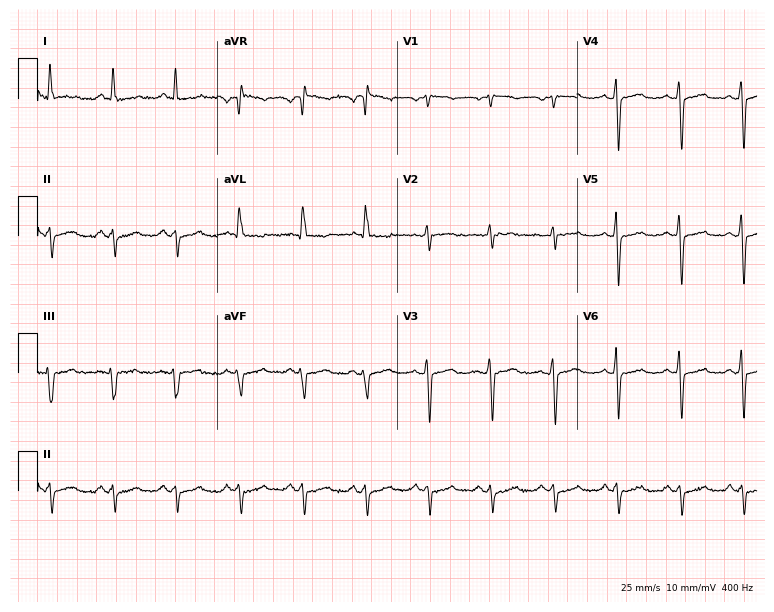
ECG — a 67-year-old female. Screened for six findings — first-degree AV block, right bundle branch block, left bundle branch block, sinus bradycardia, atrial fibrillation, sinus tachycardia — none is recorded. Only these six findings were labelled.